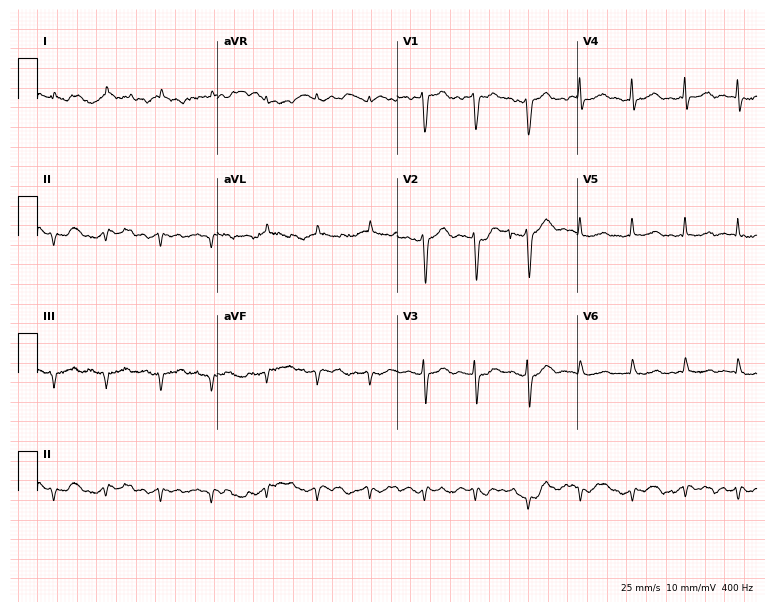
Electrocardiogram, a man, 66 years old. Interpretation includes sinus tachycardia (a sinus rate of 100 beats per minute or more).